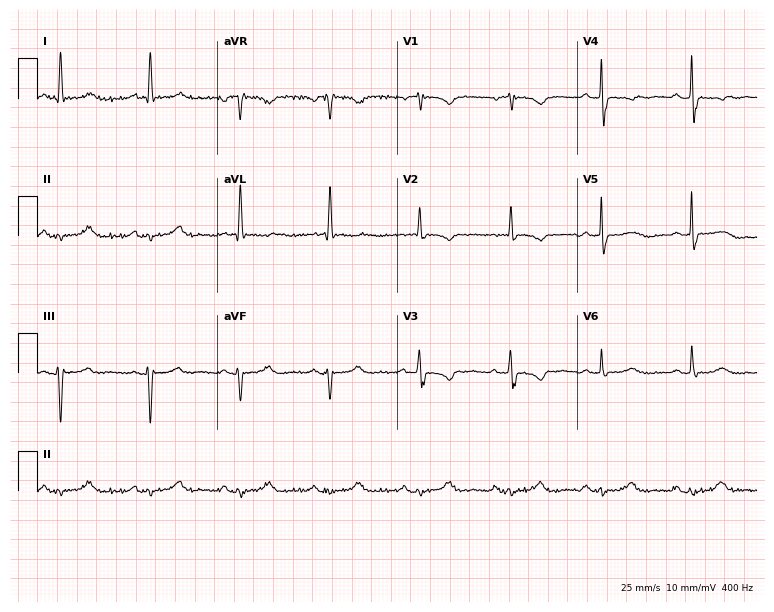
Resting 12-lead electrocardiogram. Patient: a female, 80 years old. None of these six findings is recorded: first-degree AV block, right bundle branch block, left bundle branch block, sinus bradycardia, atrial fibrillation, sinus tachycardia.